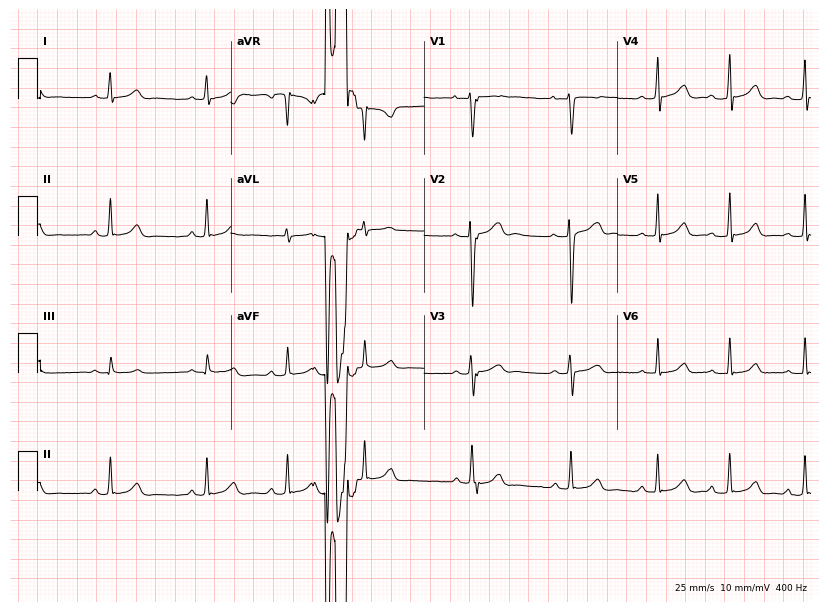
Electrocardiogram, a 17-year-old woman. Overall reading on record: normal ECG.